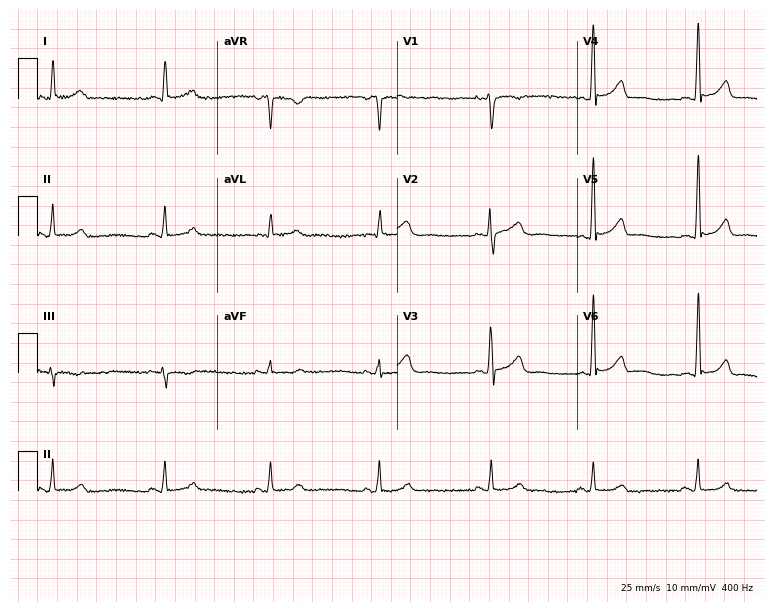
12-lead ECG from a female, 45 years old. Labelled as a normal ECG.